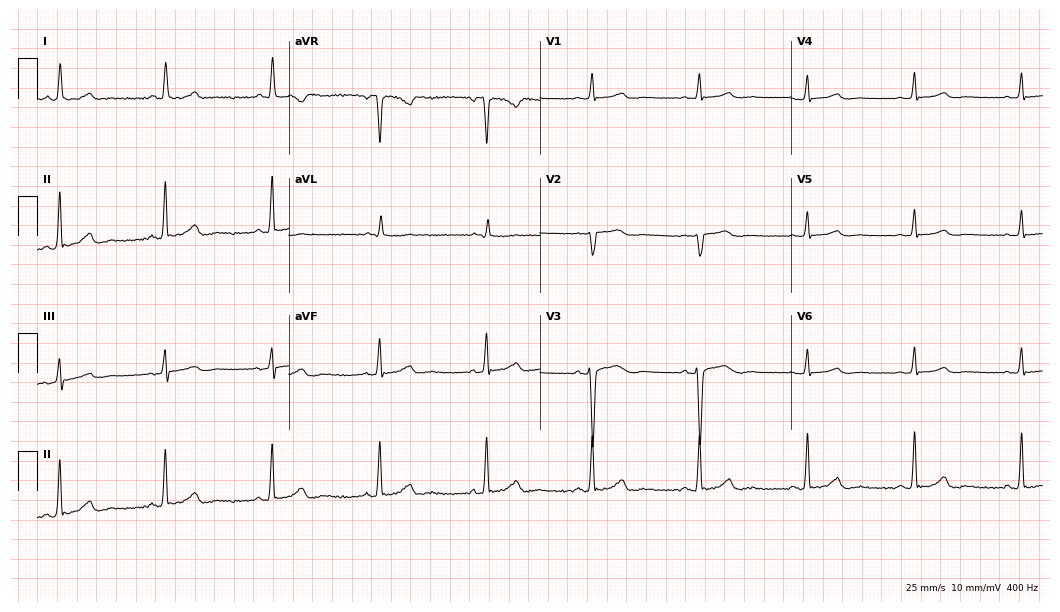
ECG (10.2-second recording at 400 Hz) — a 52-year-old female. Labelled as a normal ECG.